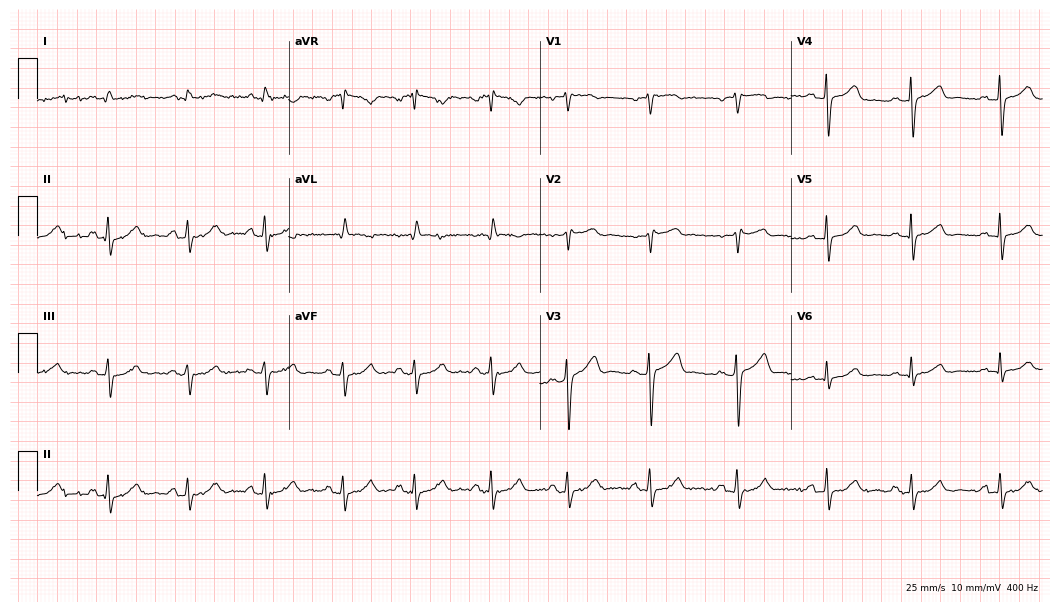
12-lead ECG (10.2-second recording at 400 Hz) from a female patient, 44 years old. Labelled as a normal ECG.